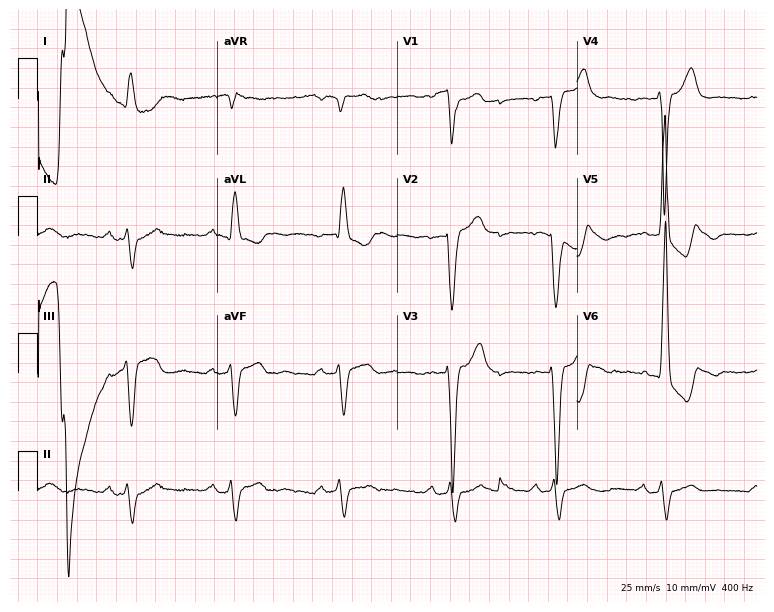
Standard 12-lead ECG recorded from a male, 81 years old (7.3-second recording at 400 Hz). None of these six findings is recorded: first-degree AV block, right bundle branch block, left bundle branch block, sinus bradycardia, atrial fibrillation, sinus tachycardia.